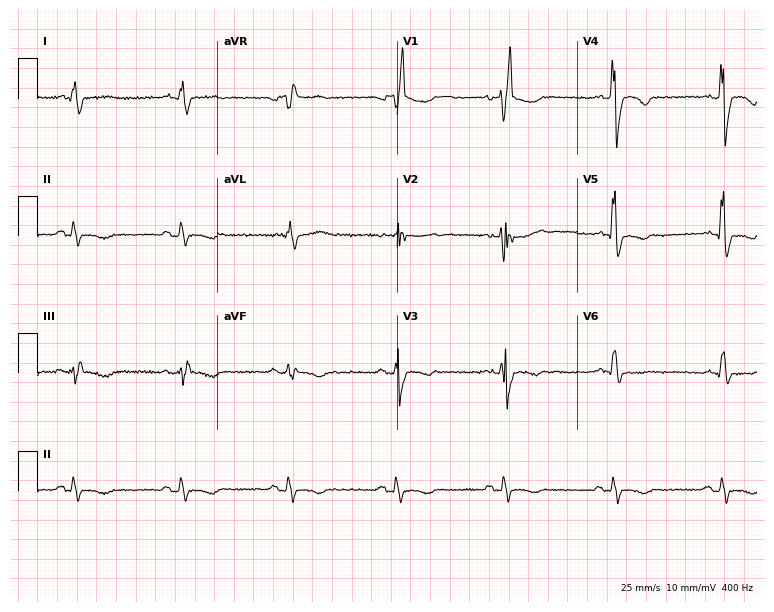
Standard 12-lead ECG recorded from a male, 55 years old (7.3-second recording at 400 Hz). The tracing shows right bundle branch block (RBBB).